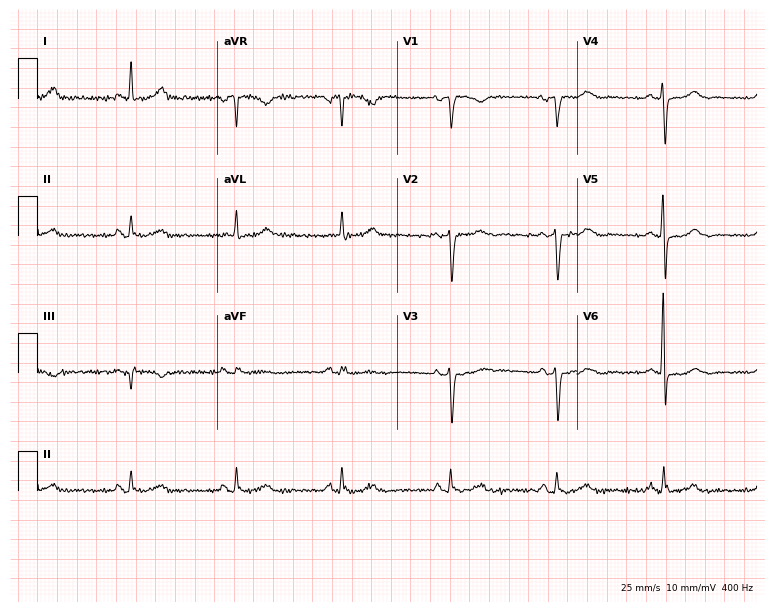
Resting 12-lead electrocardiogram (7.3-second recording at 400 Hz). Patient: a woman, 76 years old. None of these six findings is recorded: first-degree AV block, right bundle branch block, left bundle branch block, sinus bradycardia, atrial fibrillation, sinus tachycardia. Only these six findings were labelled.